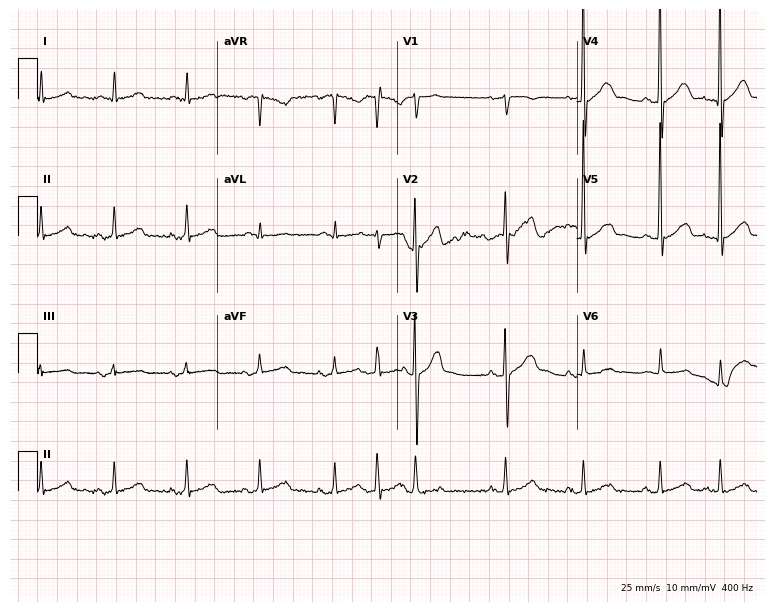
12-lead ECG from a female patient, 76 years old. Screened for six findings — first-degree AV block, right bundle branch block, left bundle branch block, sinus bradycardia, atrial fibrillation, sinus tachycardia — none is recorded.